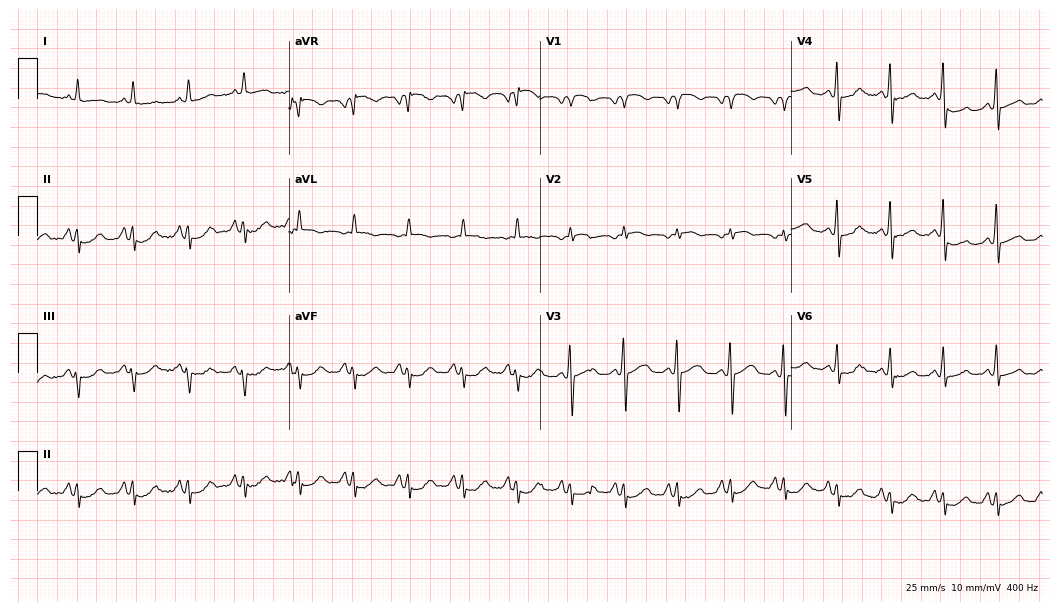
Electrocardiogram, a 70-year-old male. Of the six screened findings (first-degree AV block, right bundle branch block, left bundle branch block, sinus bradycardia, atrial fibrillation, sinus tachycardia), none is recorded.